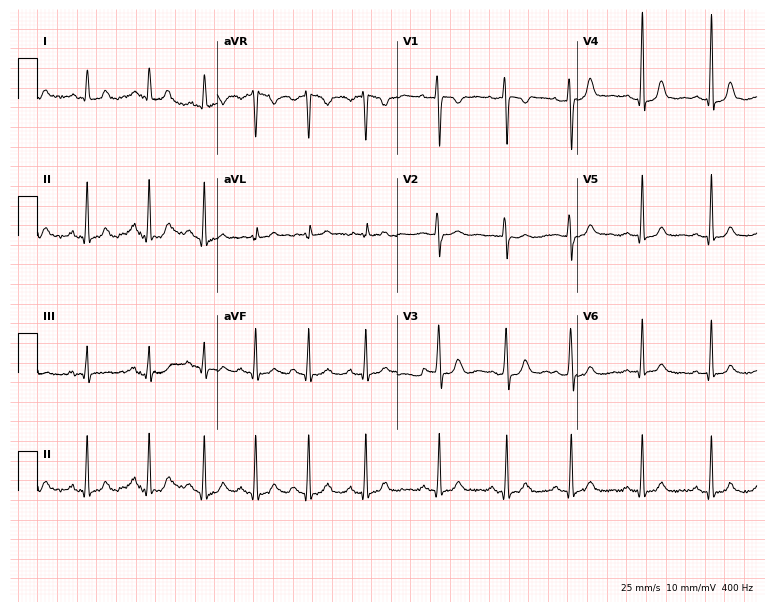
ECG (7.3-second recording at 400 Hz) — a 19-year-old woman. Screened for six findings — first-degree AV block, right bundle branch block (RBBB), left bundle branch block (LBBB), sinus bradycardia, atrial fibrillation (AF), sinus tachycardia — none is recorded. Findings outside these six are not listed.